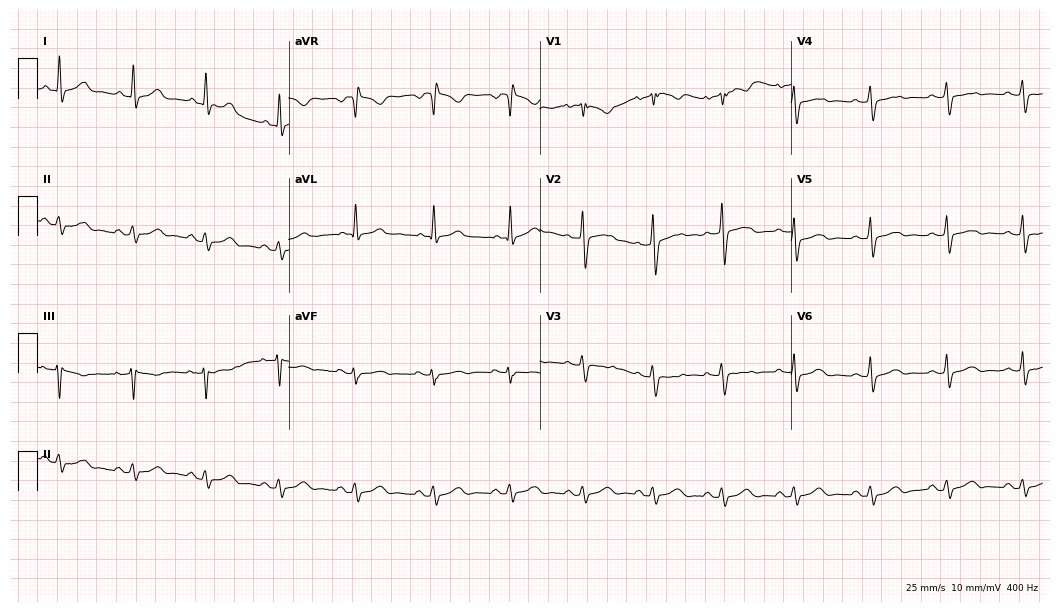
Electrocardiogram (10.2-second recording at 400 Hz), a 40-year-old woman. Overall reading on record: normal ECG.